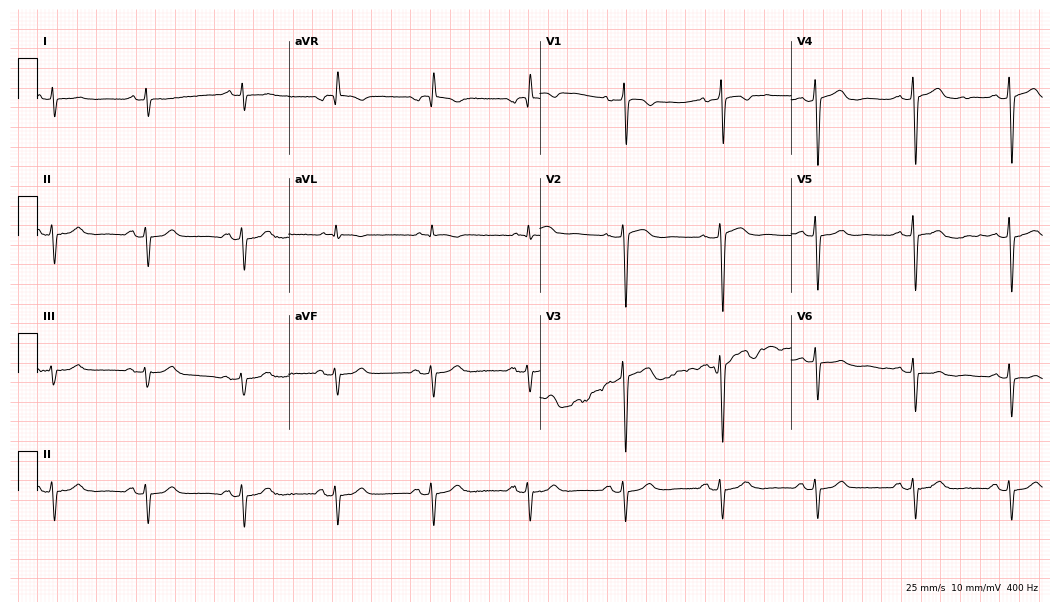
12-lead ECG from a male patient, 65 years old. Screened for six findings — first-degree AV block, right bundle branch block, left bundle branch block, sinus bradycardia, atrial fibrillation, sinus tachycardia — none is recorded. Findings outside these six are not listed.